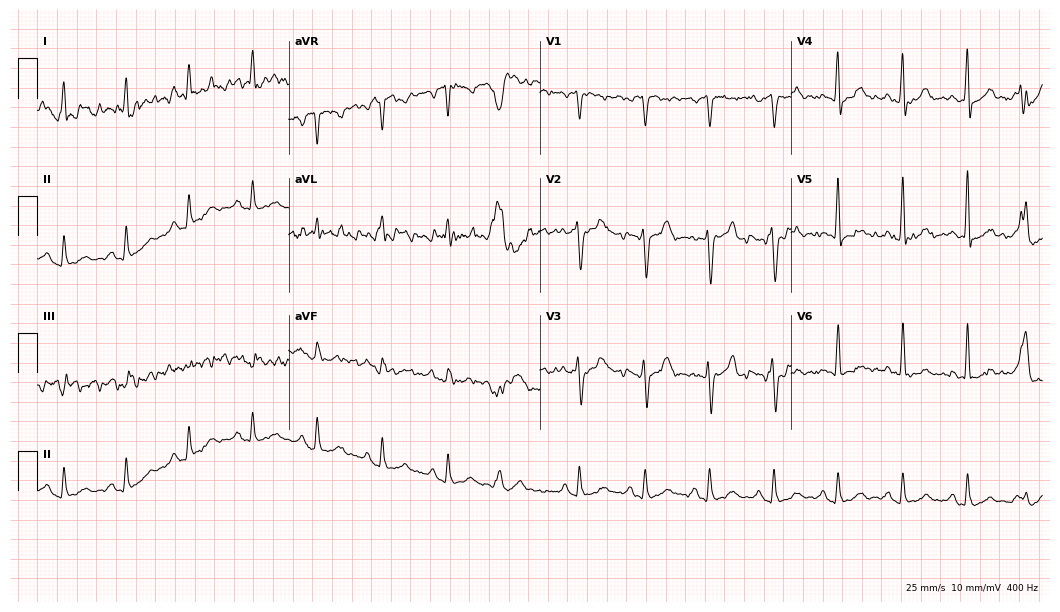
Resting 12-lead electrocardiogram (10.2-second recording at 400 Hz). Patient: a 71-year-old man. None of these six findings is recorded: first-degree AV block, right bundle branch block, left bundle branch block, sinus bradycardia, atrial fibrillation, sinus tachycardia. Other findings, if any, are not listed.